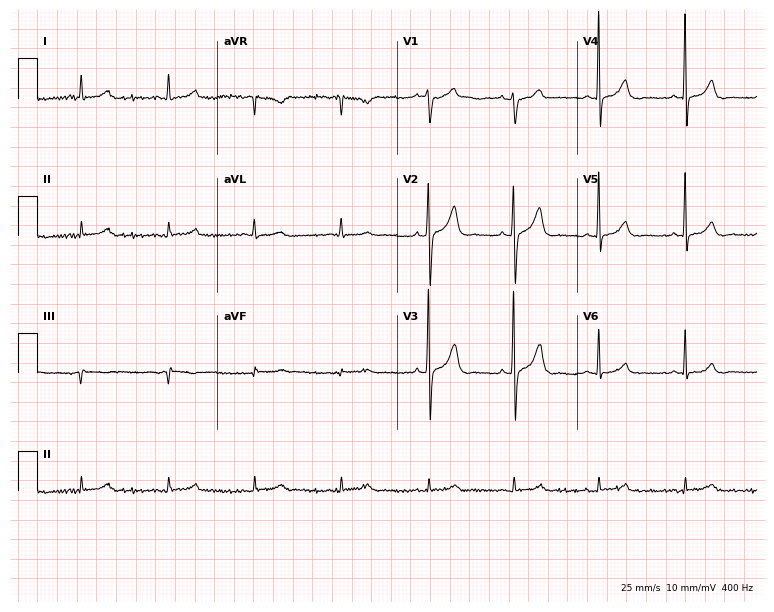
Standard 12-lead ECG recorded from an 82-year-old male patient. Read as a normal ECG.